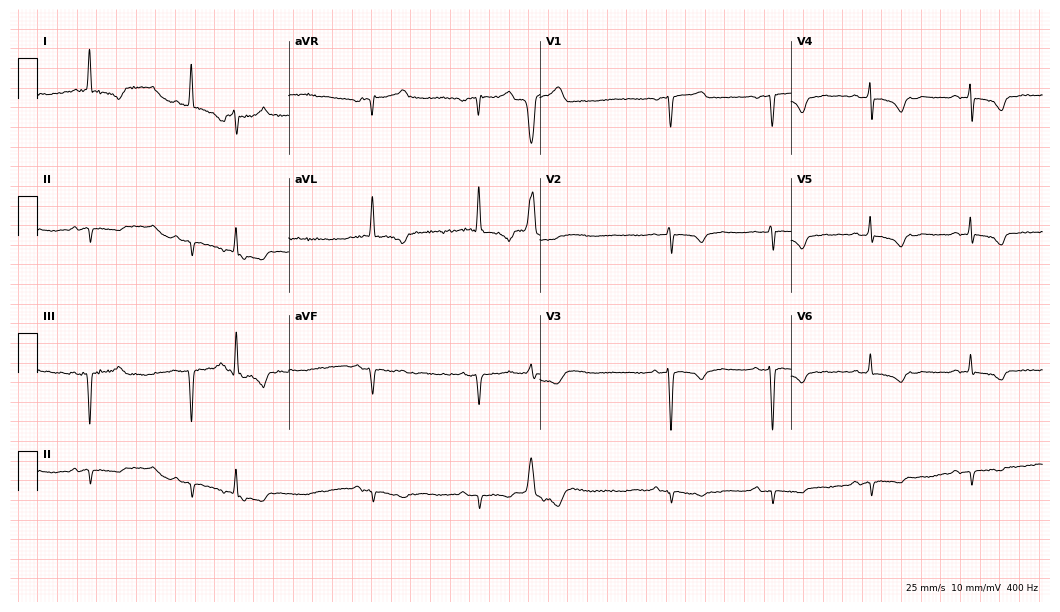
ECG (10.2-second recording at 400 Hz) — an 80-year-old female patient. Screened for six findings — first-degree AV block, right bundle branch block (RBBB), left bundle branch block (LBBB), sinus bradycardia, atrial fibrillation (AF), sinus tachycardia — none is recorded. Only these six findings were labelled.